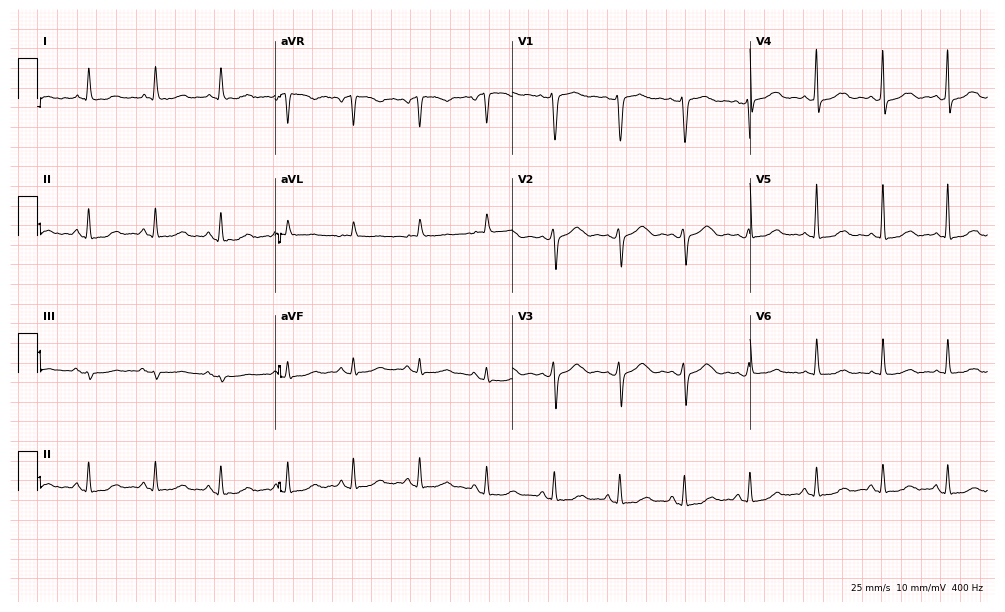
12-lead ECG from a 64-year-old woman. Recorded interpretation: within normal limits.